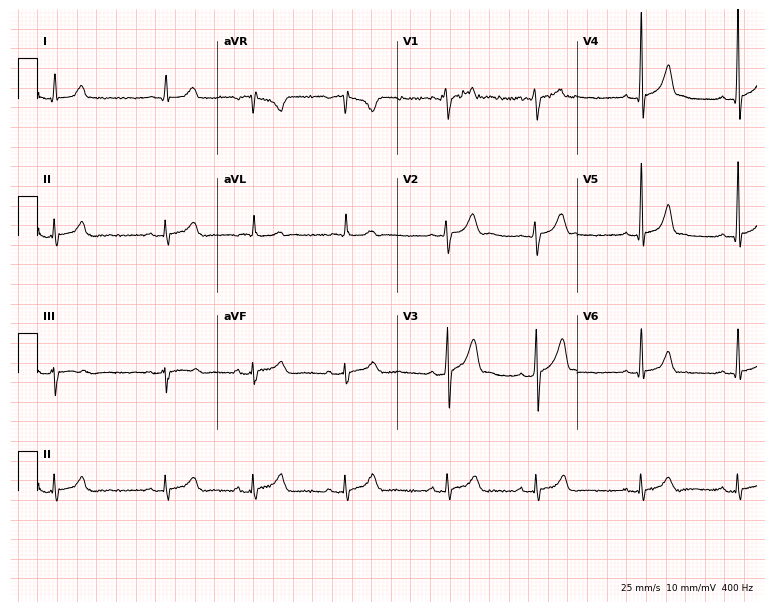
ECG — a man, 20 years old. Screened for six findings — first-degree AV block, right bundle branch block, left bundle branch block, sinus bradycardia, atrial fibrillation, sinus tachycardia — none is recorded.